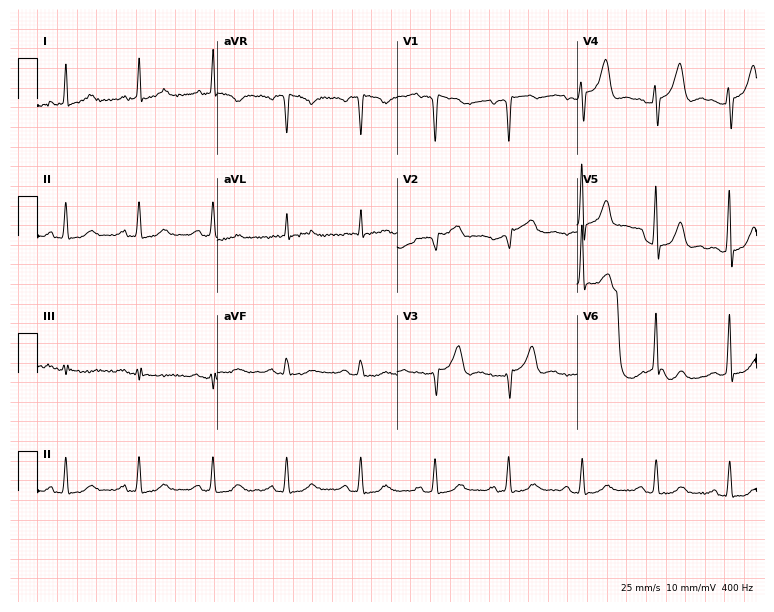
12-lead ECG from a 68-year-old man (7.3-second recording at 400 Hz). No first-degree AV block, right bundle branch block, left bundle branch block, sinus bradycardia, atrial fibrillation or sinus tachycardia recorded for this tracing. Only these six findings were labelled.